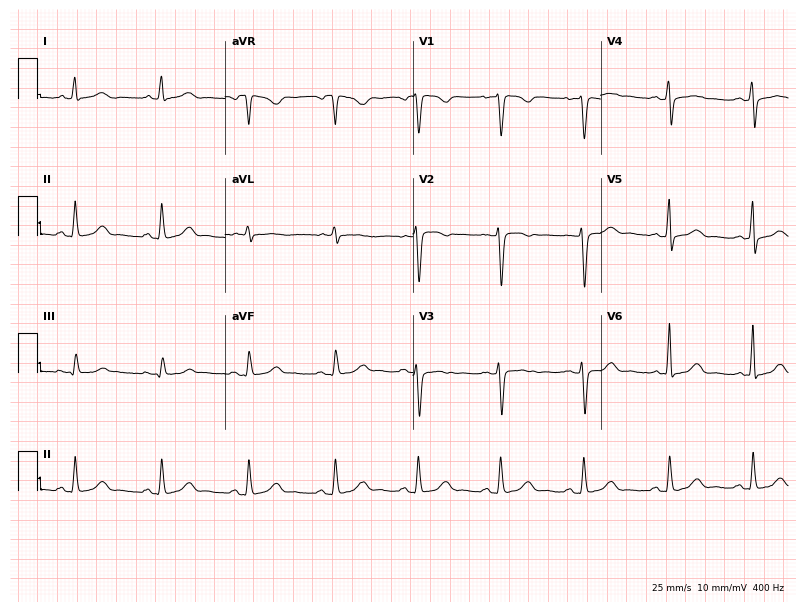
Standard 12-lead ECG recorded from a 34-year-old woman. None of these six findings is recorded: first-degree AV block, right bundle branch block (RBBB), left bundle branch block (LBBB), sinus bradycardia, atrial fibrillation (AF), sinus tachycardia. Only these six findings were labelled.